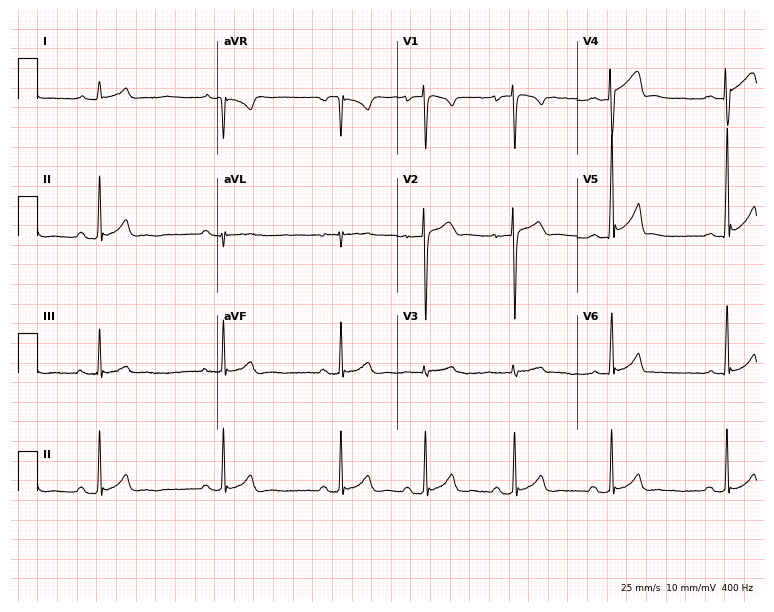
12-lead ECG (7.3-second recording at 400 Hz) from a 20-year-old male patient. Labelled as a normal ECG.